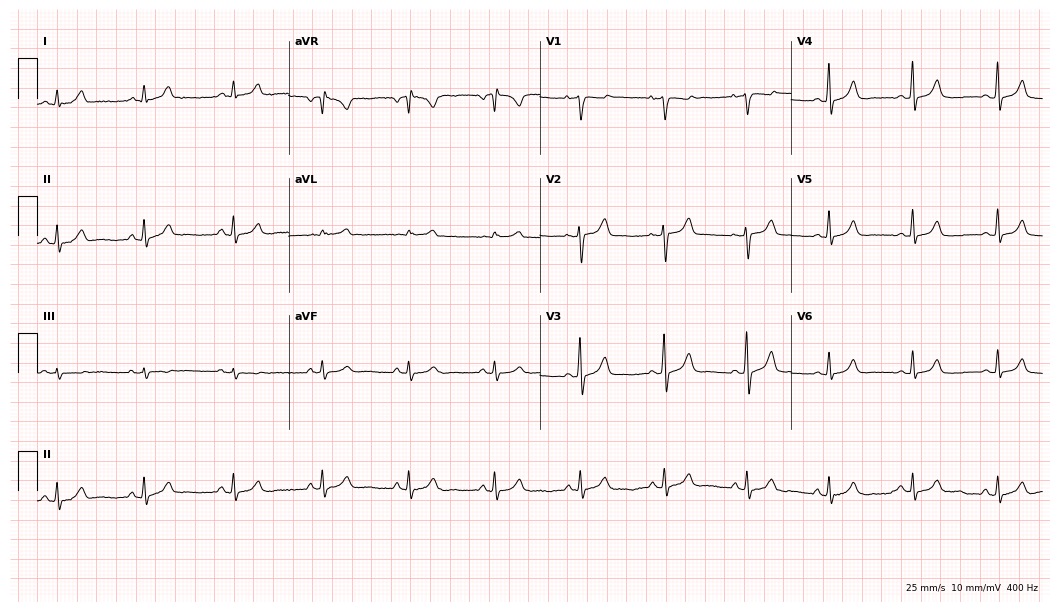
ECG (10.2-second recording at 400 Hz) — a 37-year-old female patient. Labelled as a normal ECG.